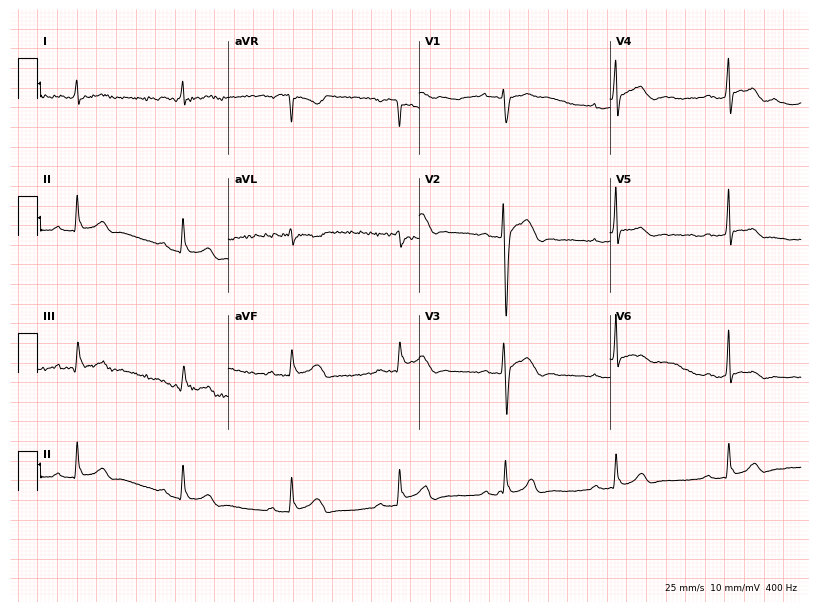
Resting 12-lead electrocardiogram (7.8-second recording at 400 Hz). Patient: a man, 46 years old. None of these six findings is recorded: first-degree AV block, right bundle branch block, left bundle branch block, sinus bradycardia, atrial fibrillation, sinus tachycardia.